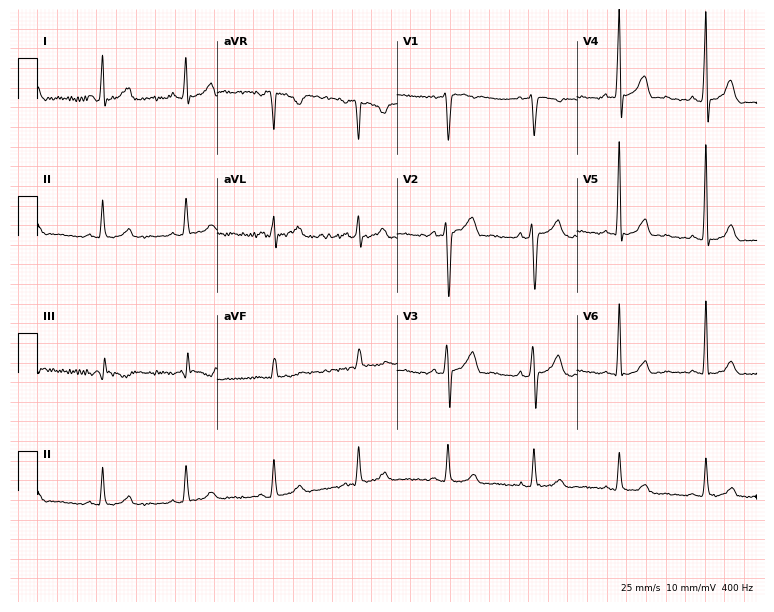
12-lead ECG from a man, 37 years old. No first-degree AV block, right bundle branch block, left bundle branch block, sinus bradycardia, atrial fibrillation or sinus tachycardia recorded for this tracing. Other findings, if any, are not listed.